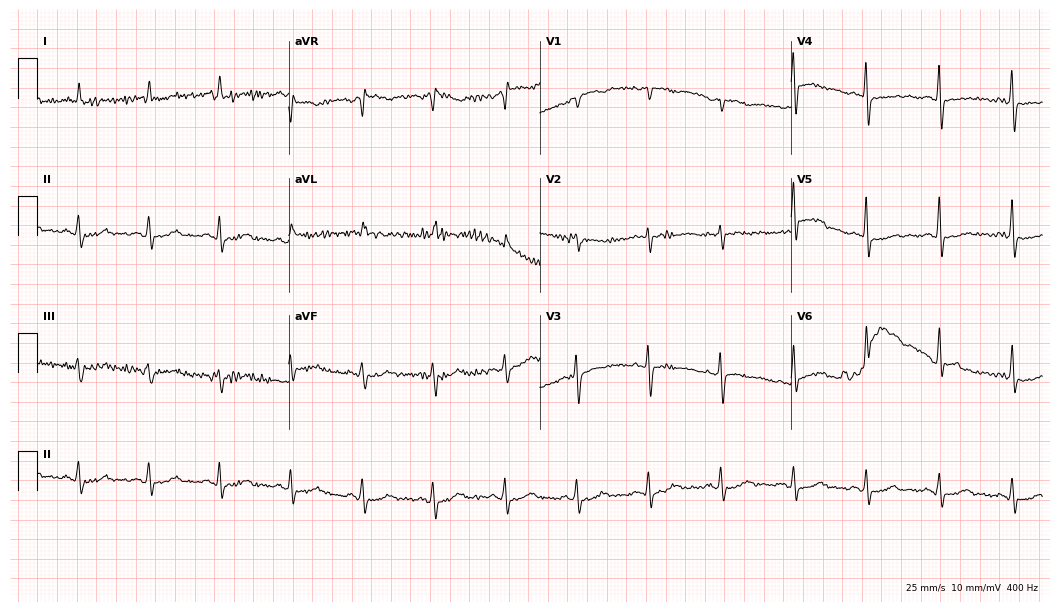
12-lead ECG (10.2-second recording at 400 Hz) from a female patient, 80 years old. Screened for six findings — first-degree AV block, right bundle branch block, left bundle branch block, sinus bradycardia, atrial fibrillation, sinus tachycardia — none is recorded.